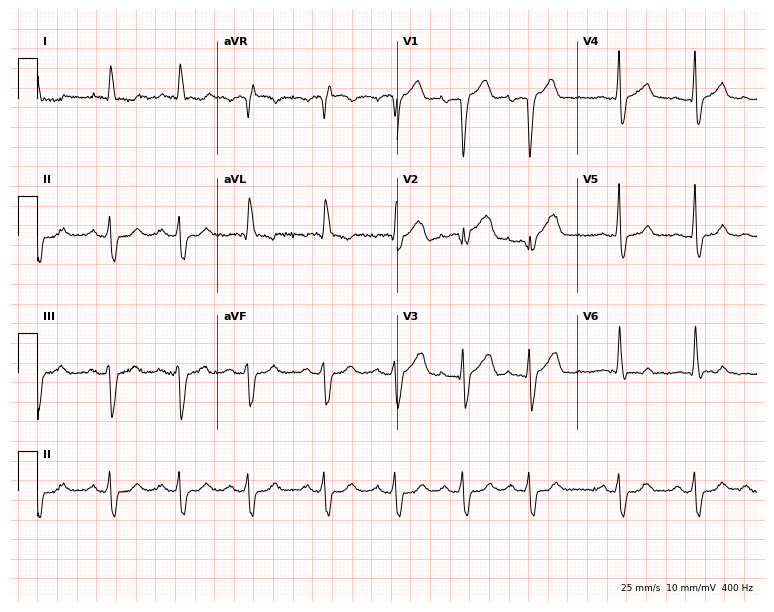
12-lead ECG (7.3-second recording at 400 Hz) from a man, 84 years old. Findings include left bundle branch block.